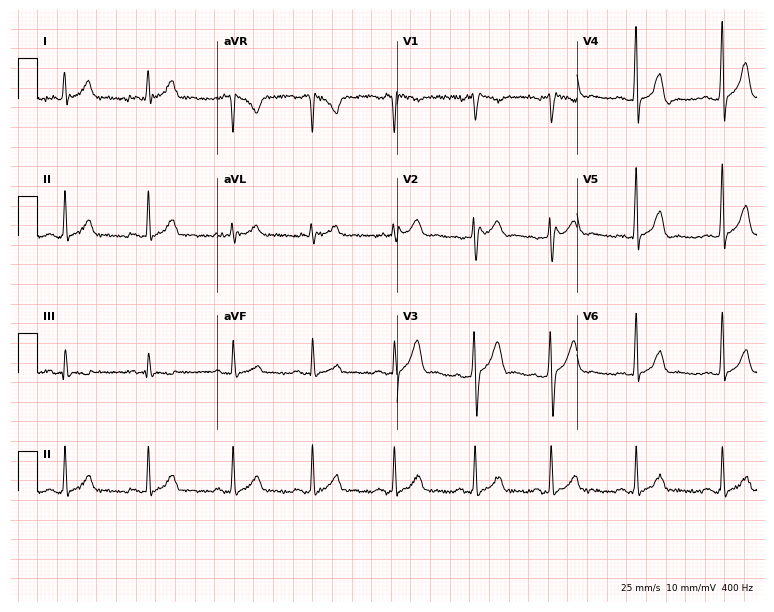
ECG — a 46-year-old man. Labelled as a normal ECG.